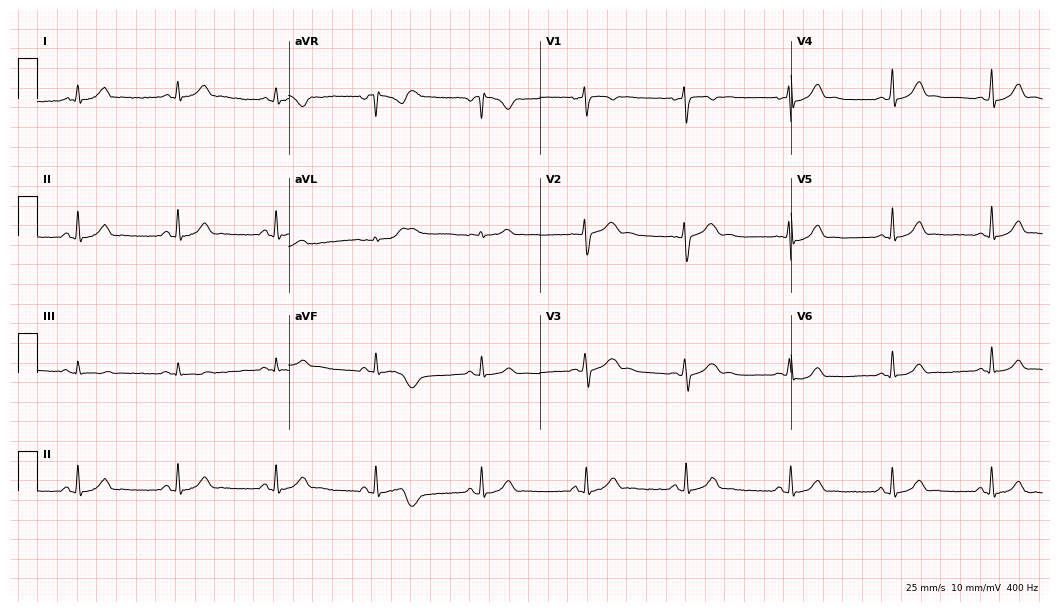
Resting 12-lead electrocardiogram. Patient: a 20-year-old female. Read as a normal ECG.